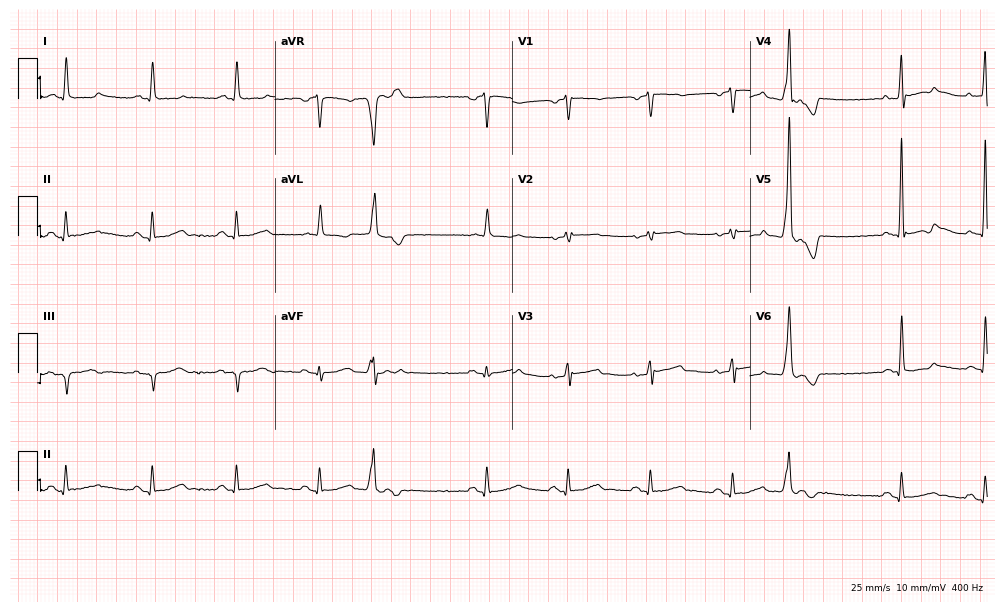
Standard 12-lead ECG recorded from a male patient, 61 years old. None of these six findings is recorded: first-degree AV block, right bundle branch block (RBBB), left bundle branch block (LBBB), sinus bradycardia, atrial fibrillation (AF), sinus tachycardia. Only these six findings were labelled.